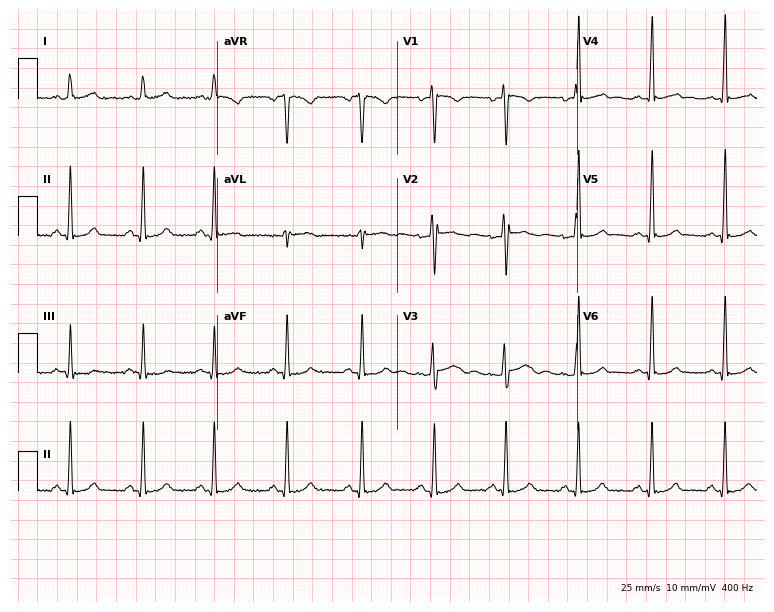
12-lead ECG from a female, 40 years old (7.3-second recording at 400 Hz). Recorded interpretation: within normal limits.